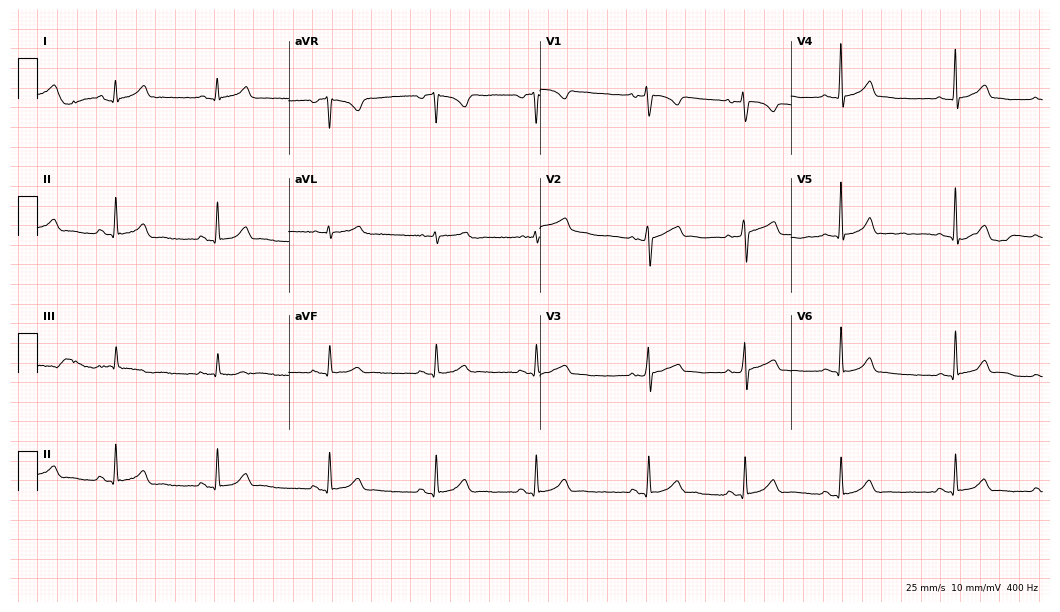
ECG (10.2-second recording at 400 Hz) — a 21-year-old female patient. Labelled as a normal ECG.